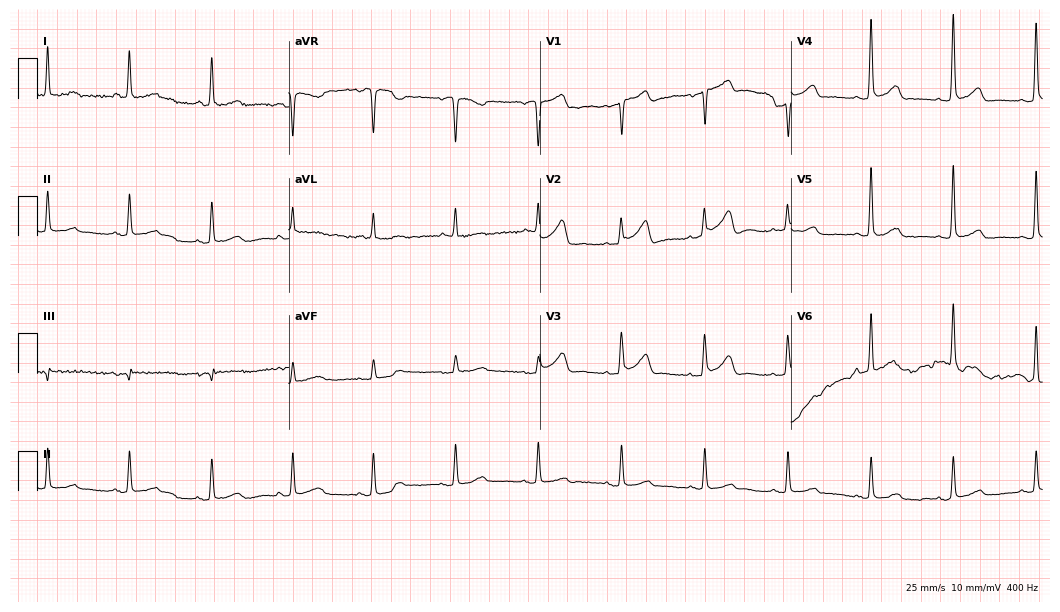
12-lead ECG from a 79-year-old woman. Screened for six findings — first-degree AV block, right bundle branch block (RBBB), left bundle branch block (LBBB), sinus bradycardia, atrial fibrillation (AF), sinus tachycardia — none is recorded. Findings outside these six are not listed.